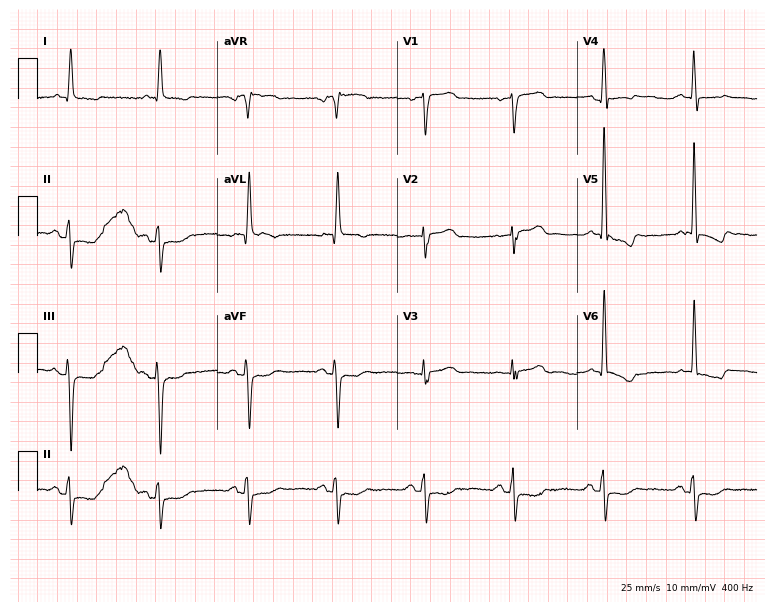
Standard 12-lead ECG recorded from a 73-year-old man (7.3-second recording at 400 Hz). None of these six findings is recorded: first-degree AV block, right bundle branch block (RBBB), left bundle branch block (LBBB), sinus bradycardia, atrial fibrillation (AF), sinus tachycardia.